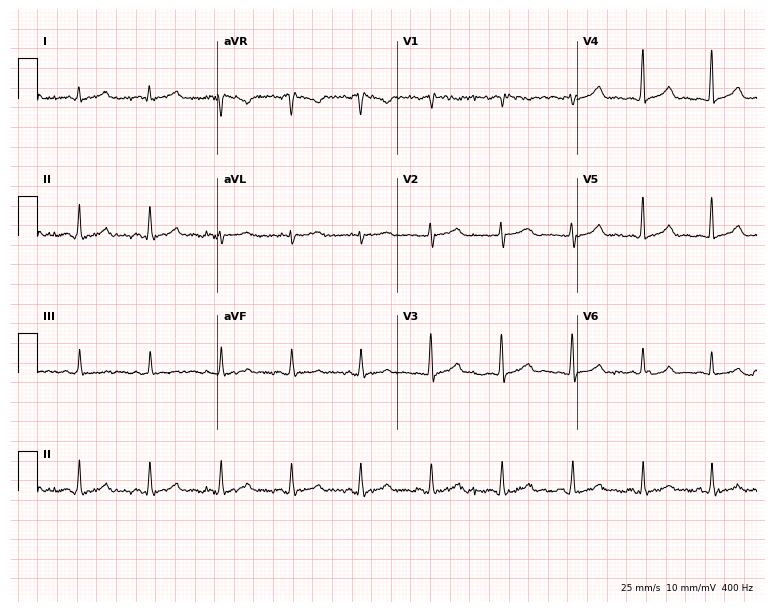
Standard 12-lead ECG recorded from a woman, 30 years old (7.3-second recording at 400 Hz). Read as a normal ECG.